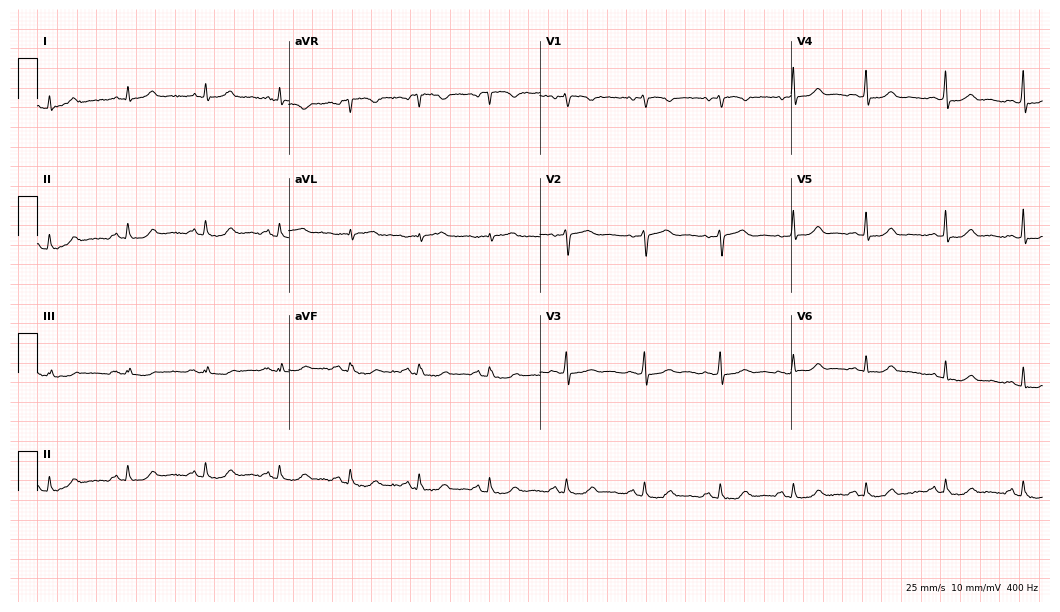
12-lead ECG from a woman, 58 years old. Screened for six findings — first-degree AV block, right bundle branch block, left bundle branch block, sinus bradycardia, atrial fibrillation, sinus tachycardia — none is recorded. Other findings, if any, are not listed.